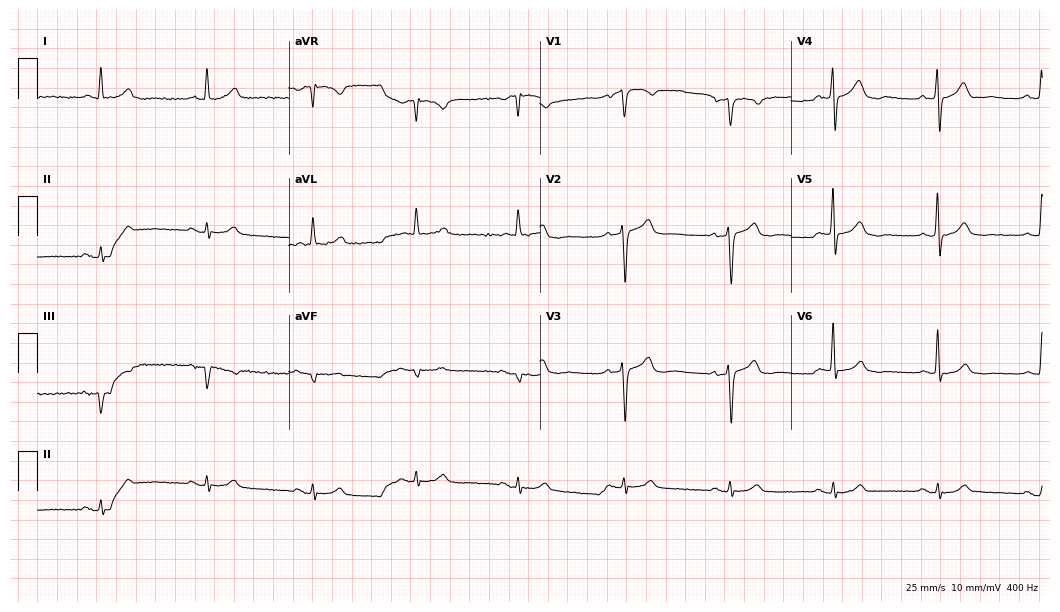
Resting 12-lead electrocardiogram. Patient: a 66-year-old male. None of these six findings is recorded: first-degree AV block, right bundle branch block, left bundle branch block, sinus bradycardia, atrial fibrillation, sinus tachycardia.